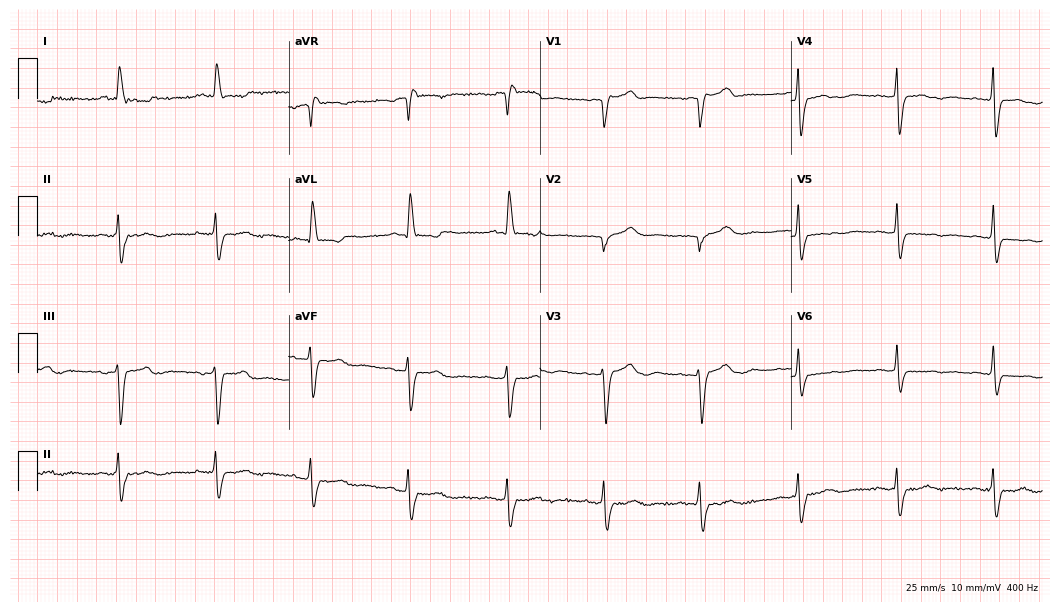
12-lead ECG from a 72-year-old woman (10.2-second recording at 400 Hz). No first-degree AV block, right bundle branch block, left bundle branch block, sinus bradycardia, atrial fibrillation or sinus tachycardia recorded for this tracing. Findings outside these six are not listed.